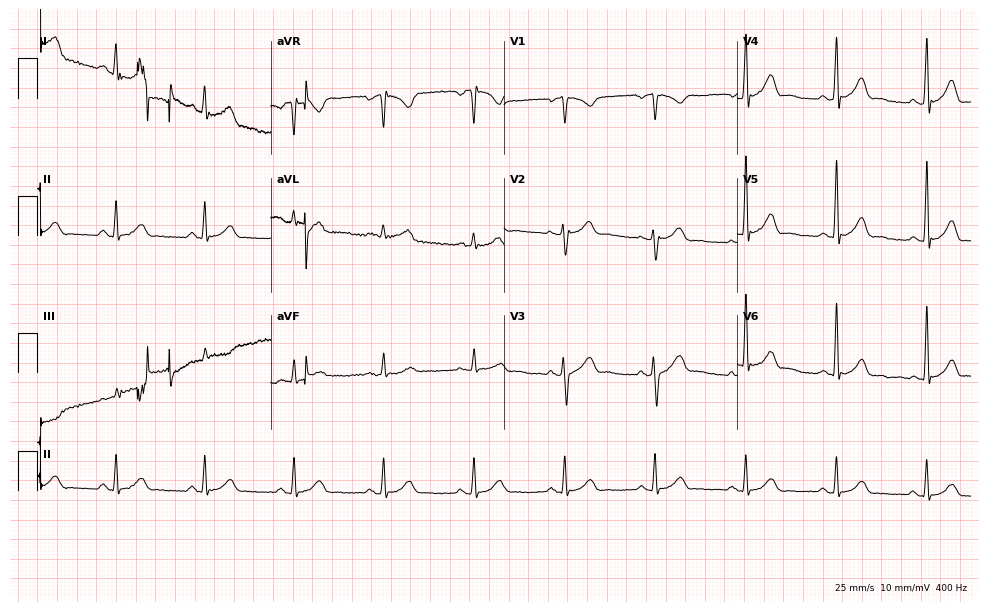
Electrocardiogram (9.5-second recording at 400 Hz), a 47-year-old male patient. Overall reading on record: normal ECG.